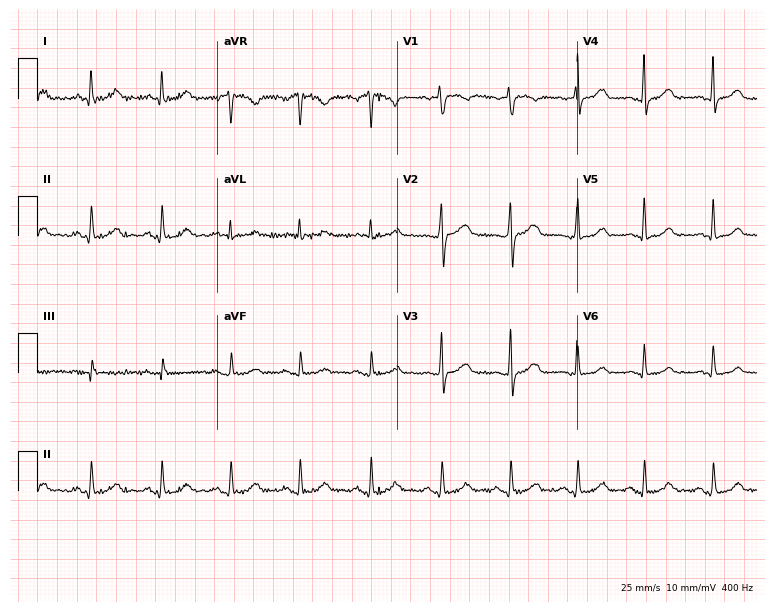
Standard 12-lead ECG recorded from a woman, 41 years old. Read as a normal ECG.